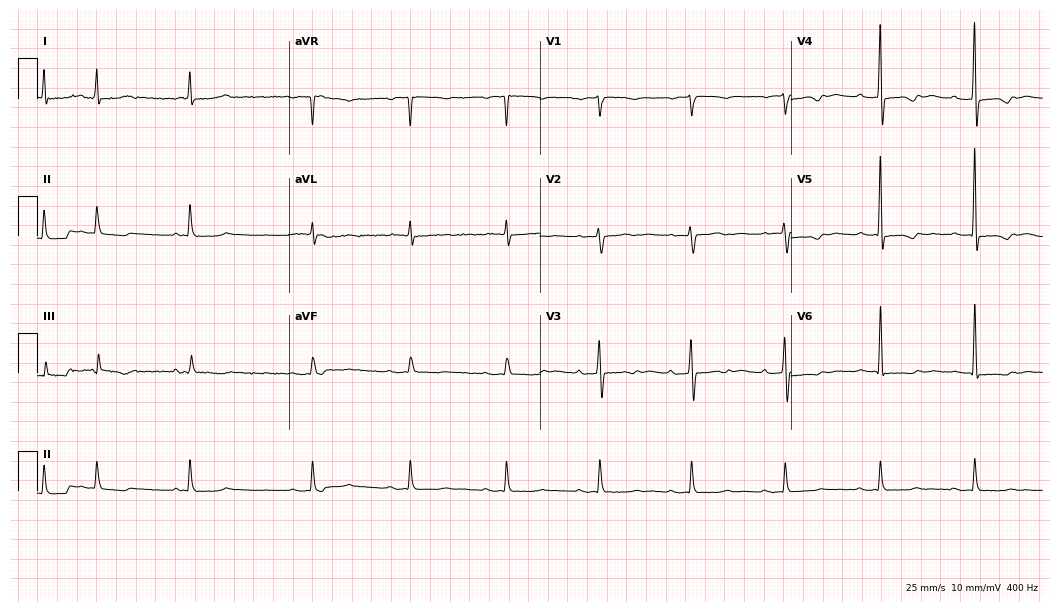
Resting 12-lead electrocardiogram. Patient: a female, 80 years old. None of these six findings is recorded: first-degree AV block, right bundle branch block, left bundle branch block, sinus bradycardia, atrial fibrillation, sinus tachycardia. Other findings, if any, are not listed.